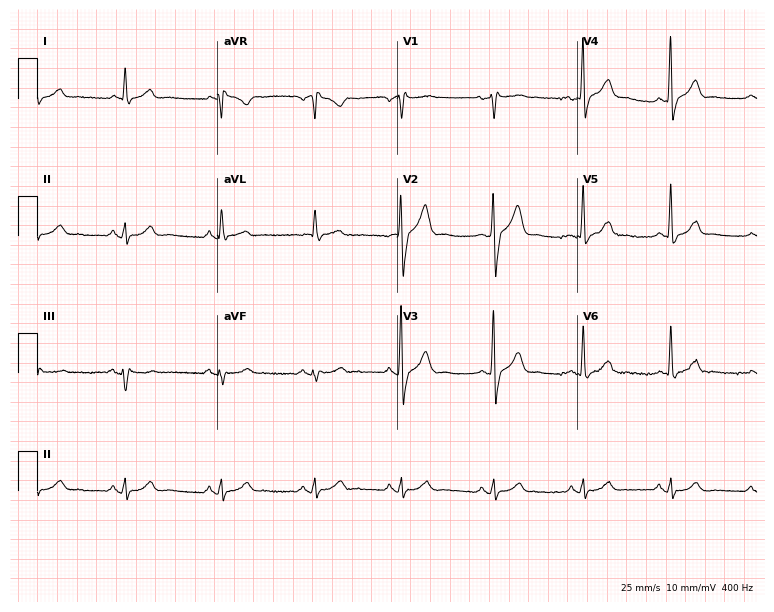
12-lead ECG from a male patient, 84 years old. No first-degree AV block, right bundle branch block (RBBB), left bundle branch block (LBBB), sinus bradycardia, atrial fibrillation (AF) or sinus tachycardia recorded for this tracing. Only these six findings were labelled.